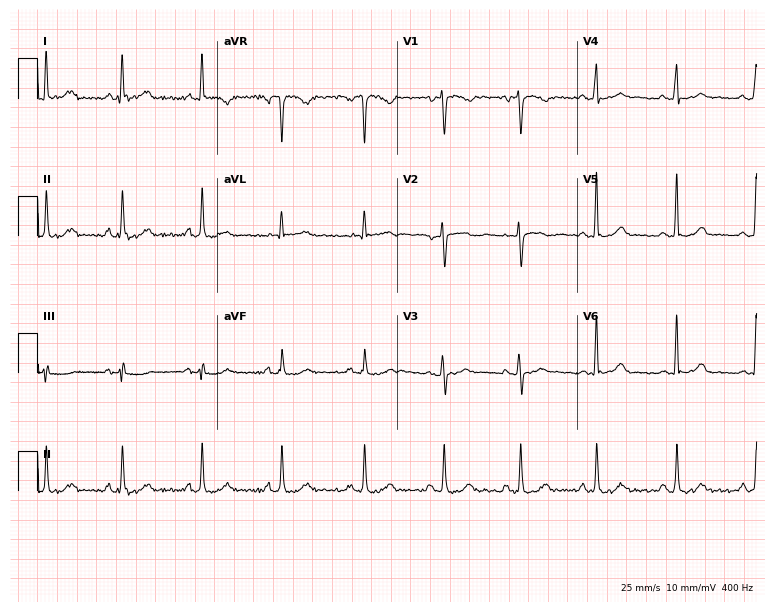
12-lead ECG from a 58-year-old female. No first-degree AV block, right bundle branch block, left bundle branch block, sinus bradycardia, atrial fibrillation or sinus tachycardia recorded for this tracing.